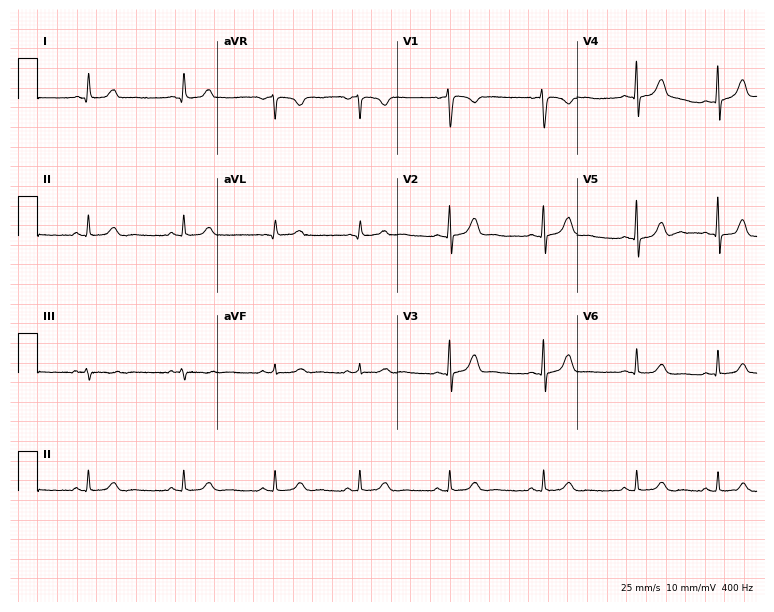
ECG — a female patient, 24 years old. Labelled as a normal ECG.